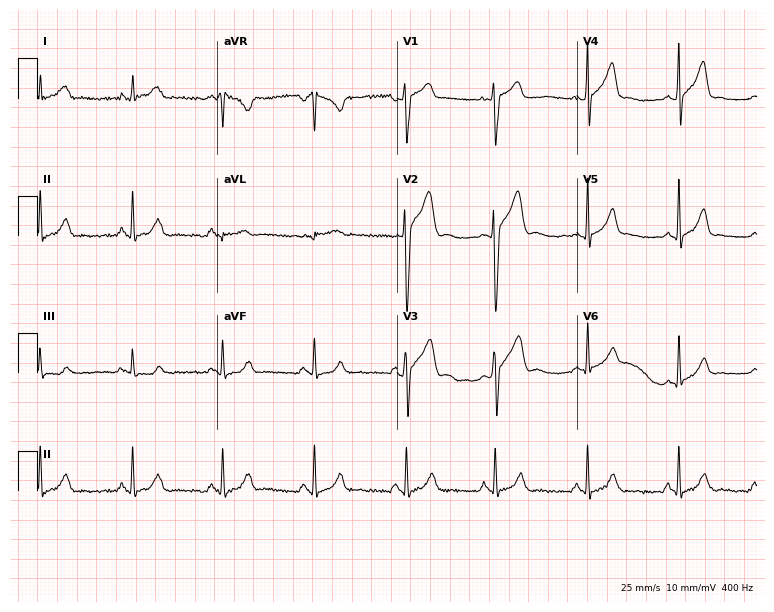
12-lead ECG from a male, 37 years old. Recorded interpretation: within normal limits.